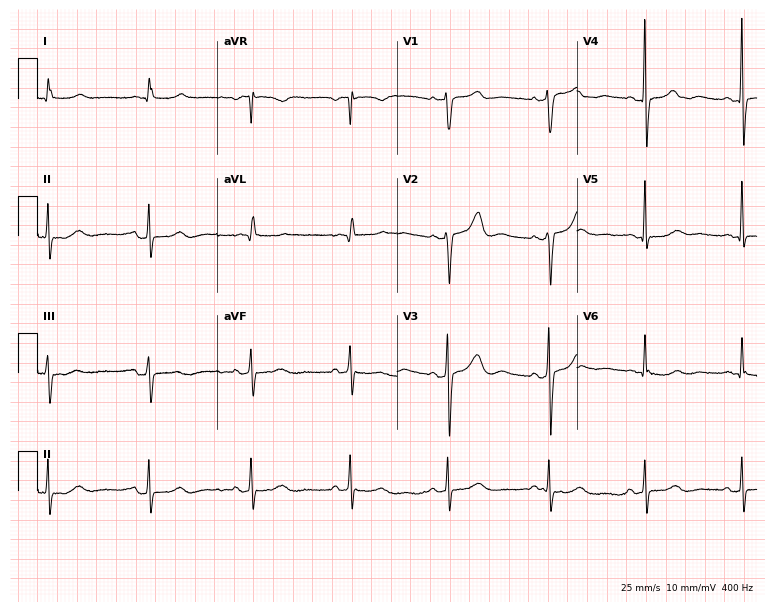
Electrocardiogram, an 84-year-old female. Overall reading on record: normal ECG.